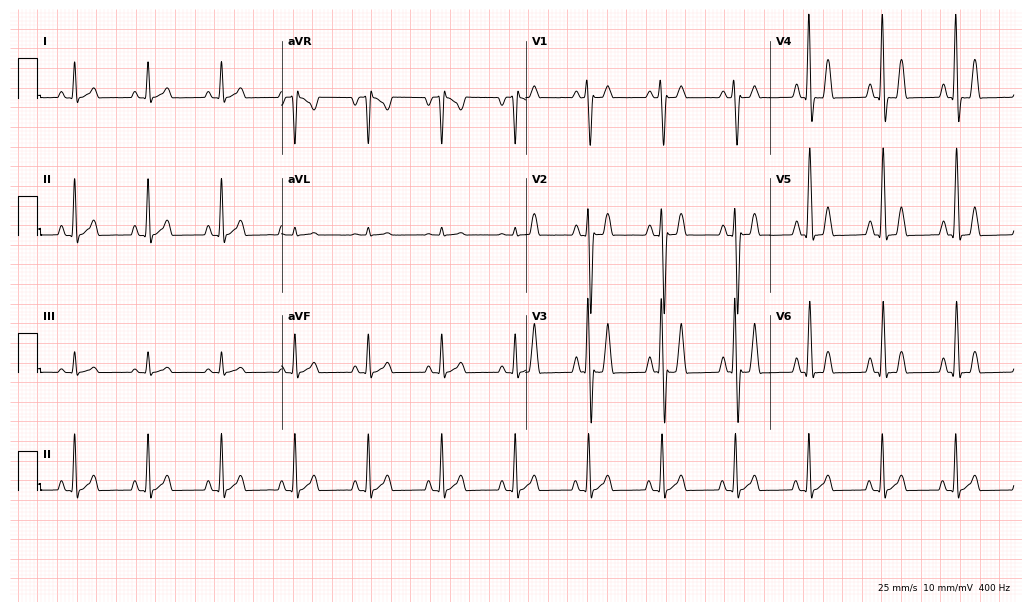
Standard 12-lead ECG recorded from a 34-year-old man (10-second recording at 400 Hz). Read as a normal ECG.